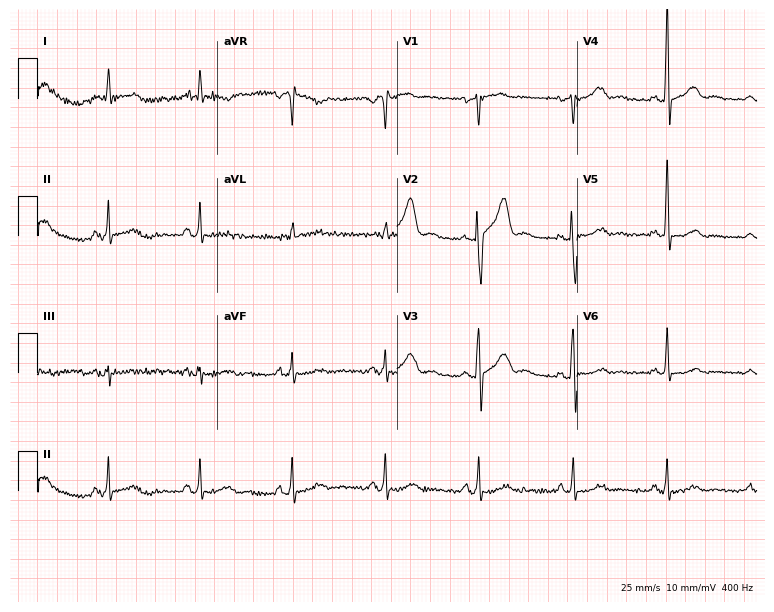
Electrocardiogram, a 67-year-old male patient. Of the six screened findings (first-degree AV block, right bundle branch block, left bundle branch block, sinus bradycardia, atrial fibrillation, sinus tachycardia), none is recorded.